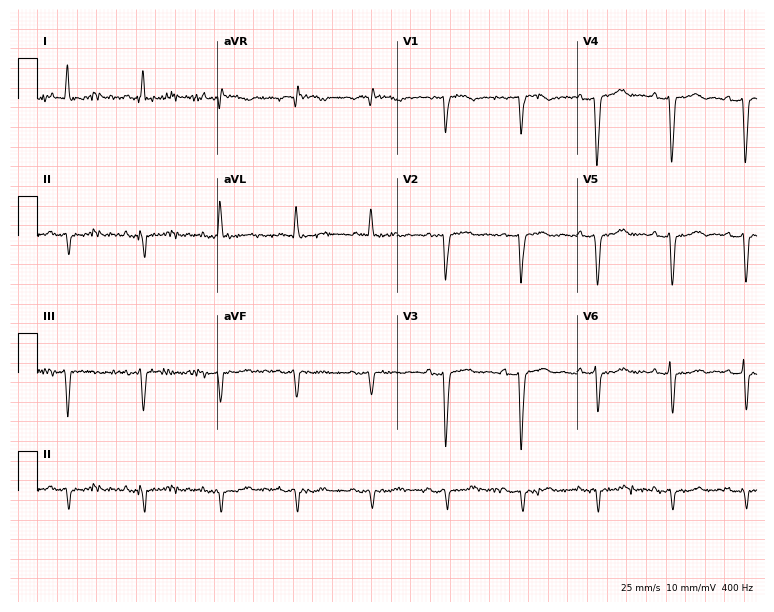
Electrocardiogram (7.3-second recording at 400 Hz), a female, 77 years old. Of the six screened findings (first-degree AV block, right bundle branch block (RBBB), left bundle branch block (LBBB), sinus bradycardia, atrial fibrillation (AF), sinus tachycardia), none is recorded. Findings outside these six are not listed.